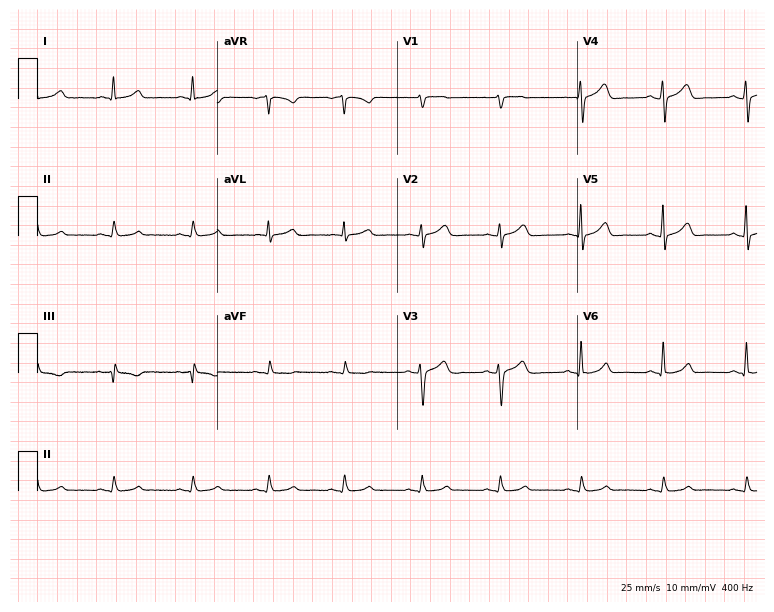
ECG (7.3-second recording at 400 Hz) — a man, 49 years old. Screened for six findings — first-degree AV block, right bundle branch block (RBBB), left bundle branch block (LBBB), sinus bradycardia, atrial fibrillation (AF), sinus tachycardia — none is recorded. Only these six findings were labelled.